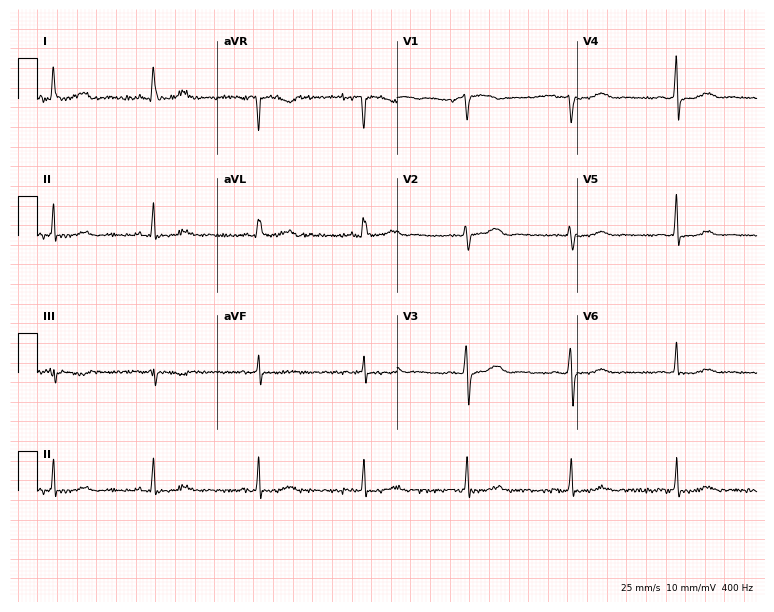
Resting 12-lead electrocardiogram (7.3-second recording at 400 Hz). Patient: a 68-year-old woman. Read as a normal ECG.